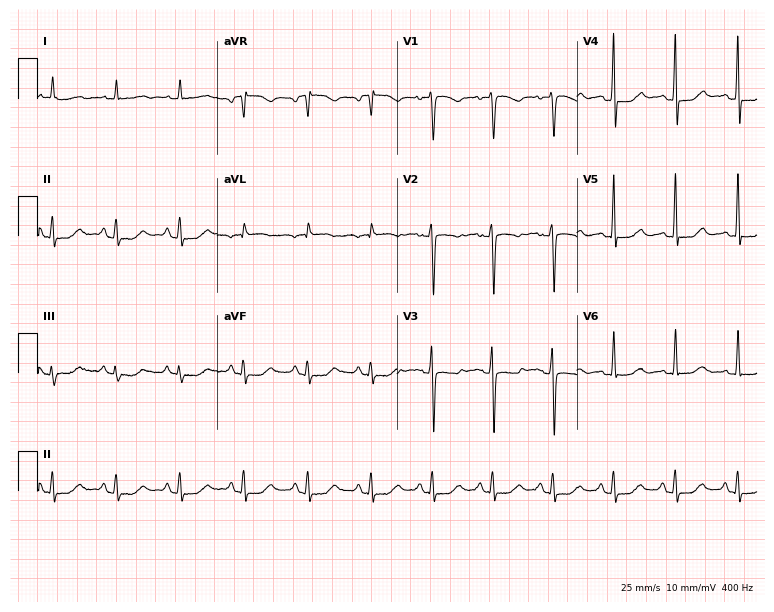
12-lead ECG from a female patient, 43 years old (7.3-second recording at 400 Hz). No first-degree AV block, right bundle branch block, left bundle branch block, sinus bradycardia, atrial fibrillation or sinus tachycardia recorded for this tracing.